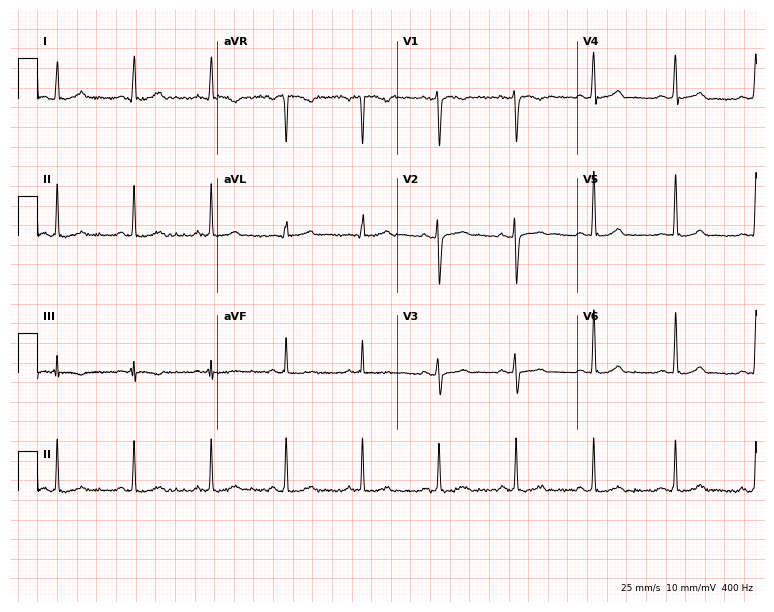
Standard 12-lead ECG recorded from a woman, 46 years old. None of these six findings is recorded: first-degree AV block, right bundle branch block (RBBB), left bundle branch block (LBBB), sinus bradycardia, atrial fibrillation (AF), sinus tachycardia. Only these six findings were labelled.